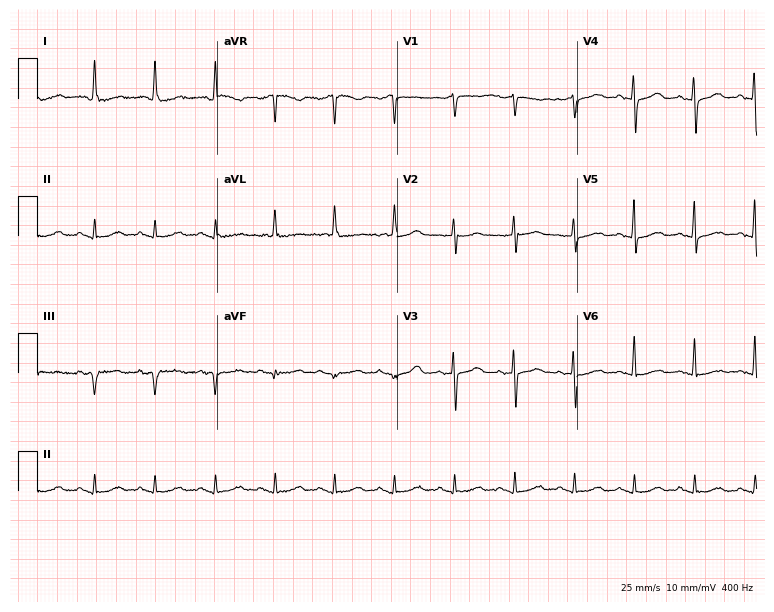
Resting 12-lead electrocardiogram (7.3-second recording at 400 Hz). Patient: a female, 76 years old. None of these six findings is recorded: first-degree AV block, right bundle branch block, left bundle branch block, sinus bradycardia, atrial fibrillation, sinus tachycardia.